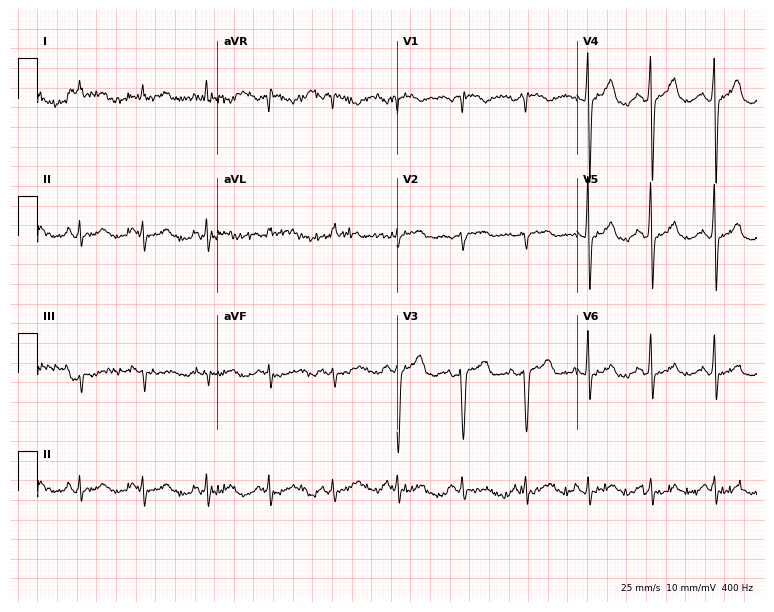
Resting 12-lead electrocardiogram. Patient: a woman, 58 years old. None of these six findings is recorded: first-degree AV block, right bundle branch block, left bundle branch block, sinus bradycardia, atrial fibrillation, sinus tachycardia. Findings outside these six are not listed.